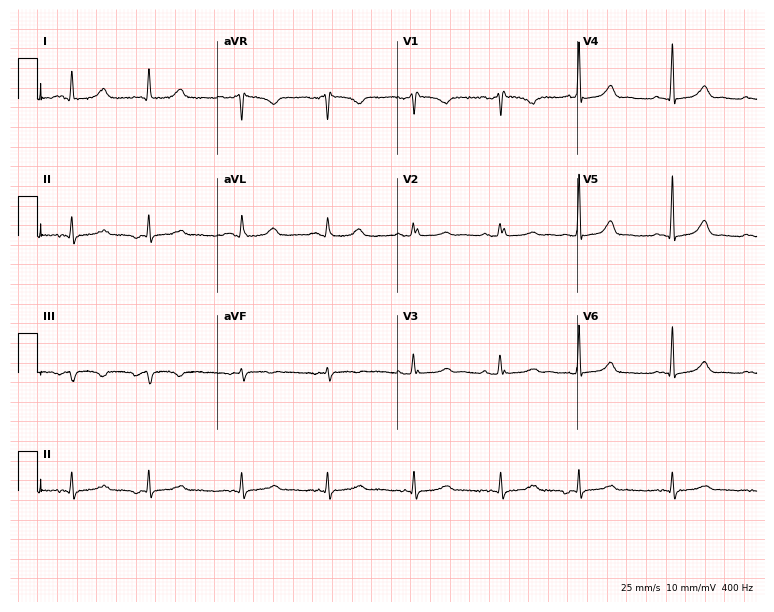
12-lead ECG from a 73-year-old female patient. No first-degree AV block, right bundle branch block (RBBB), left bundle branch block (LBBB), sinus bradycardia, atrial fibrillation (AF) or sinus tachycardia recorded for this tracing. Other findings, if any, are not listed.